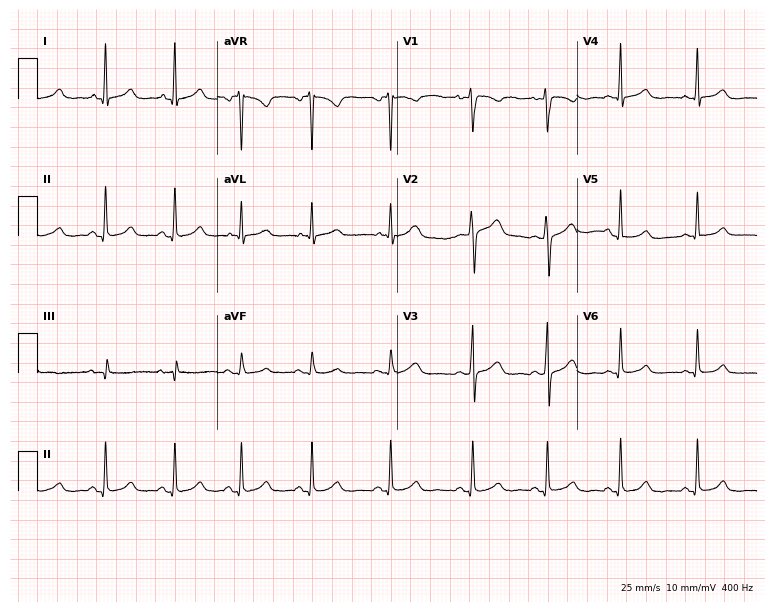
12-lead ECG (7.3-second recording at 400 Hz) from a woman, 38 years old. Labelled as a normal ECG.